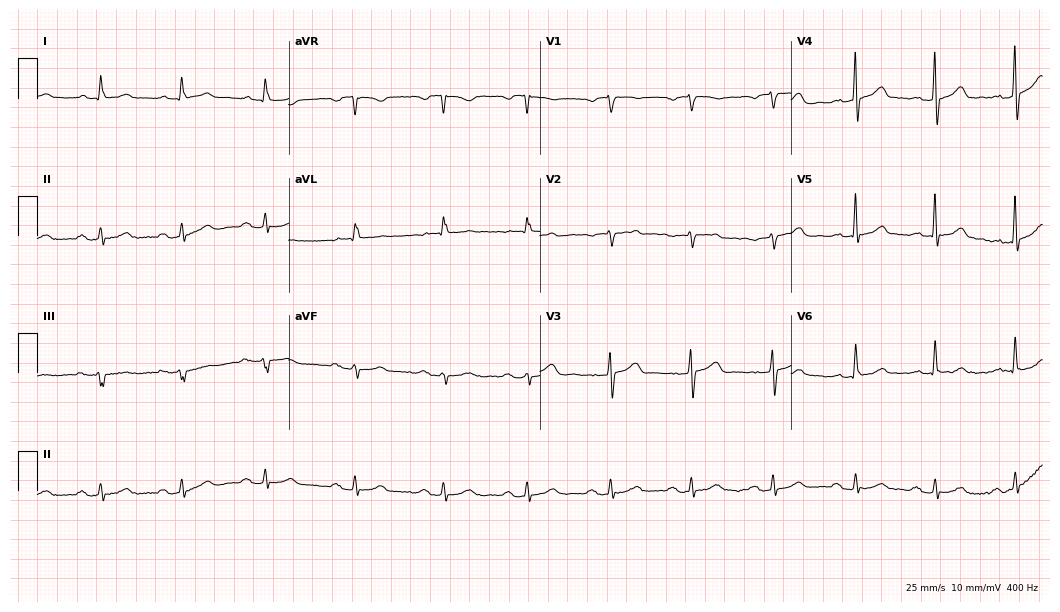
12-lead ECG from an 83-year-old male patient. Shows first-degree AV block.